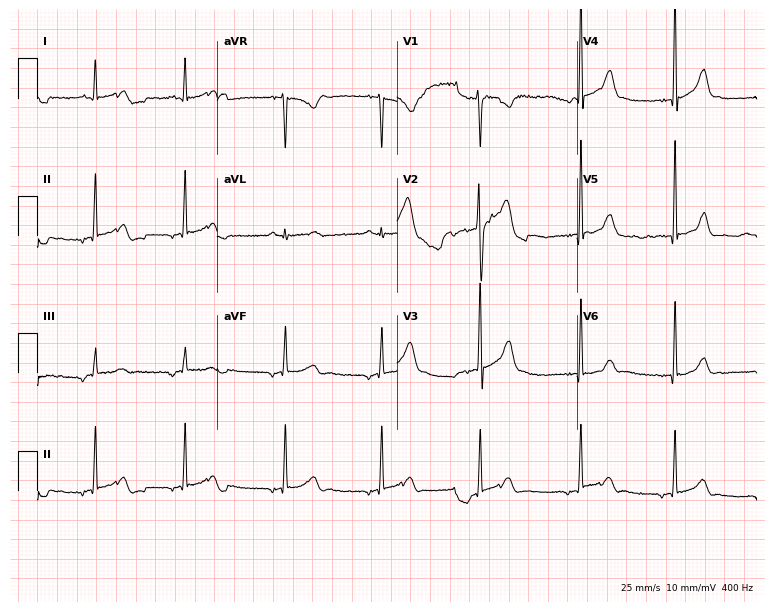
Resting 12-lead electrocardiogram. Patient: a 28-year-old male. None of these six findings is recorded: first-degree AV block, right bundle branch block (RBBB), left bundle branch block (LBBB), sinus bradycardia, atrial fibrillation (AF), sinus tachycardia.